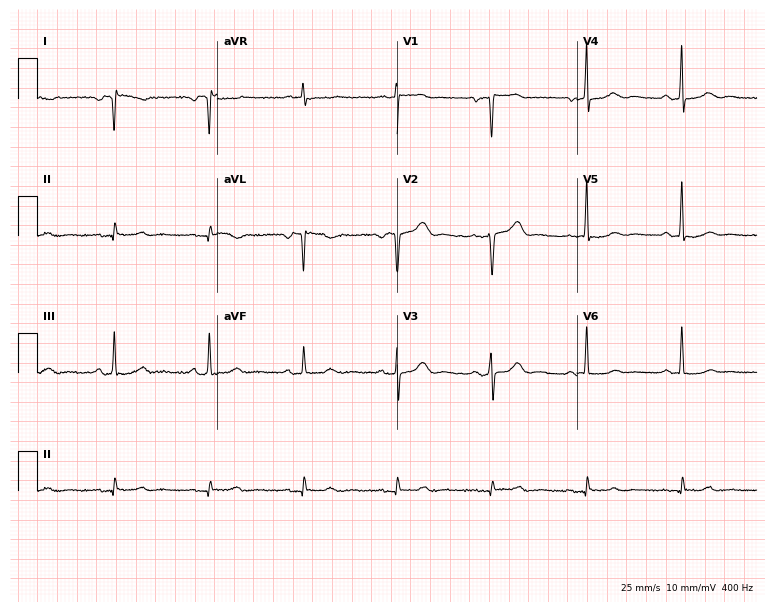
Resting 12-lead electrocardiogram. Patient: a 67-year-old female. Read as a normal ECG.